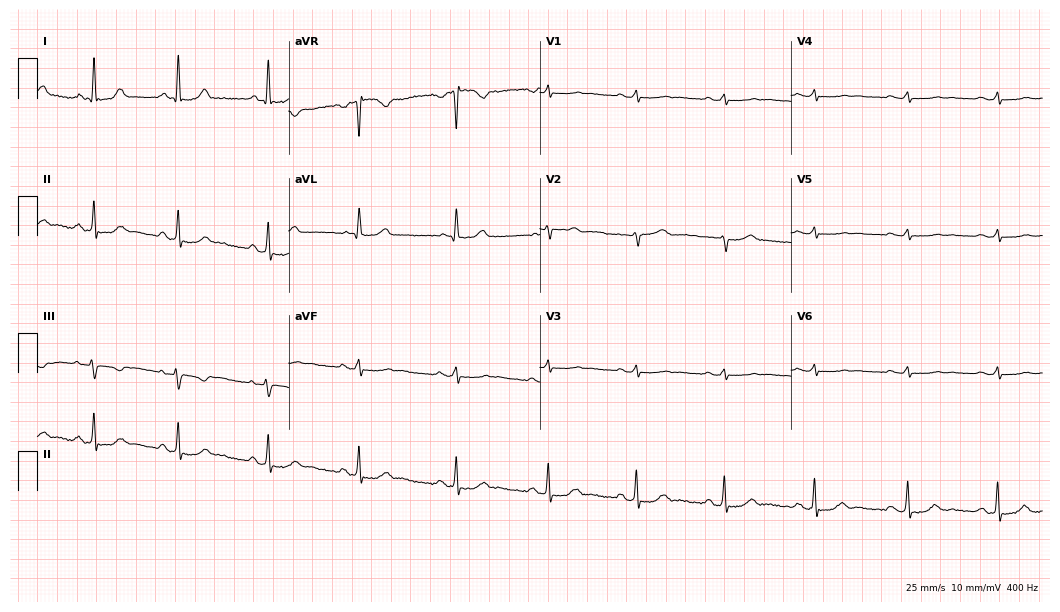
12-lead ECG from a female, 42 years old (10.2-second recording at 400 Hz). No first-degree AV block, right bundle branch block, left bundle branch block, sinus bradycardia, atrial fibrillation or sinus tachycardia recorded for this tracing.